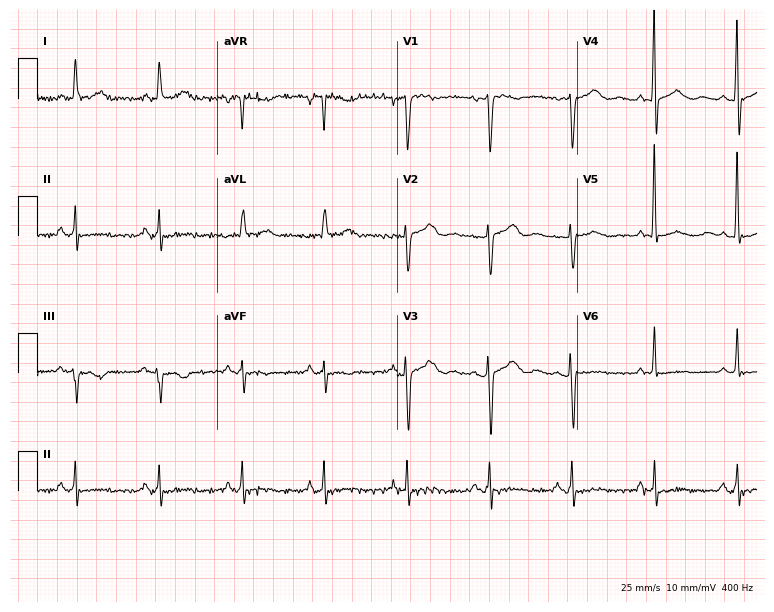
12-lead ECG from a woman, 64 years old. No first-degree AV block, right bundle branch block, left bundle branch block, sinus bradycardia, atrial fibrillation or sinus tachycardia recorded for this tracing.